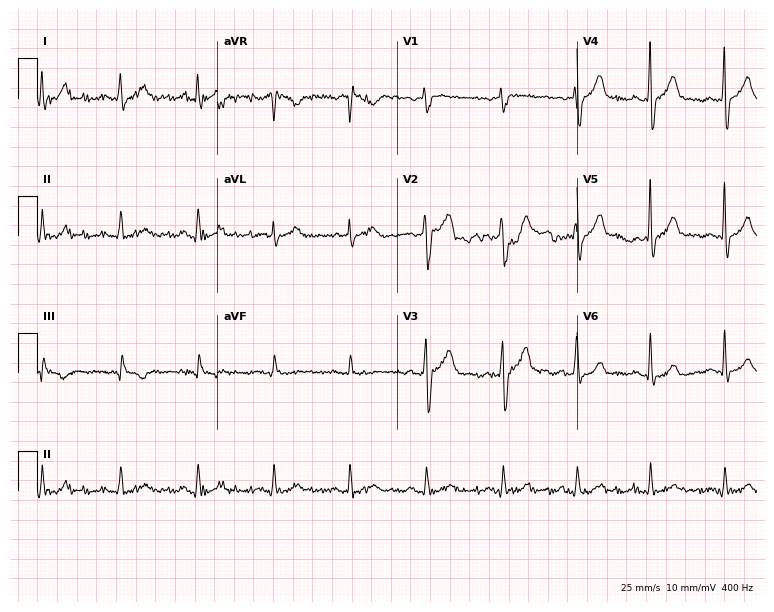
Electrocardiogram (7.3-second recording at 400 Hz), a 48-year-old male. Of the six screened findings (first-degree AV block, right bundle branch block (RBBB), left bundle branch block (LBBB), sinus bradycardia, atrial fibrillation (AF), sinus tachycardia), none is recorded.